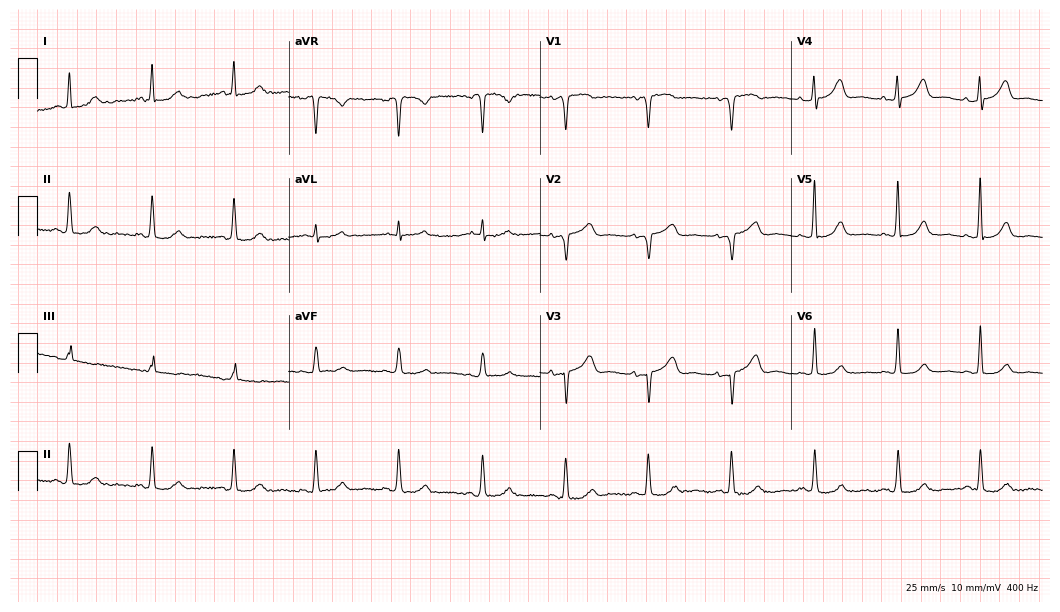
12-lead ECG from a woman, 68 years old. No first-degree AV block, right bundle branch block, left bundle branch block, sinus bradycardia, atrial fibrillation or sinus tachycardia recorded for this tracing. Findings outside these six are not listed.